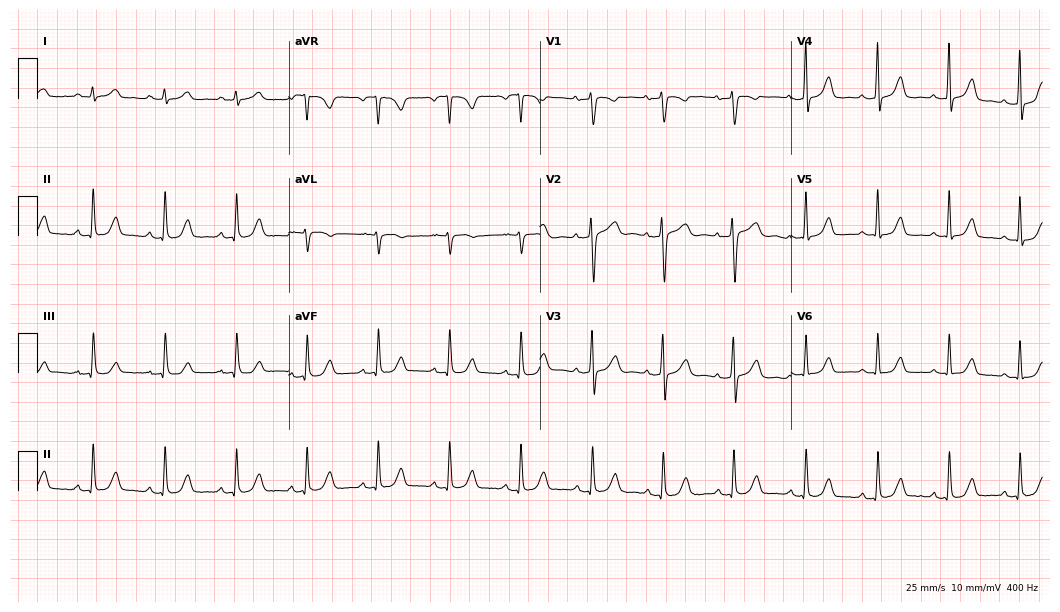
12-lead ECG from a female, 41 years old. Recorded interpretation: within normal limits.